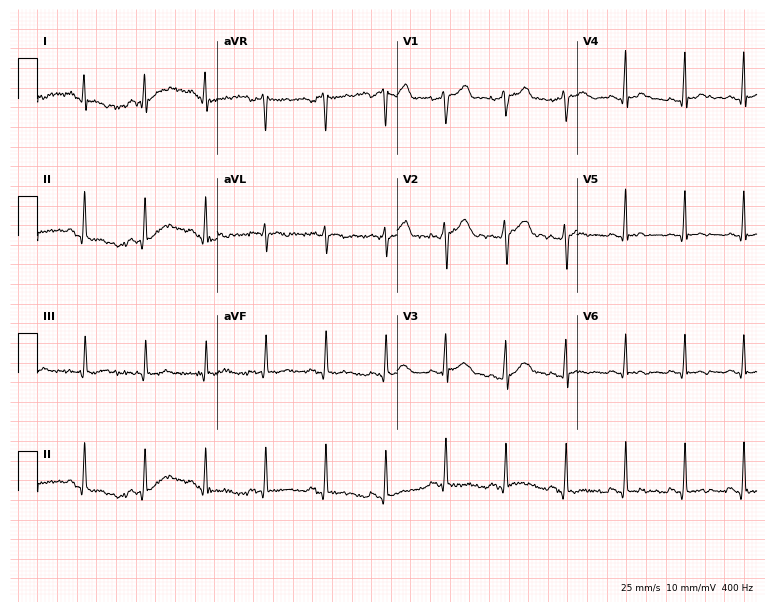
12-lead ECG from a 42-year-old man. No first-degree AV block, right bundle branch block, left bundle branch block, sinus bradycardia, atrial fibrillation or sinus tachycardia recorded for this tracing.